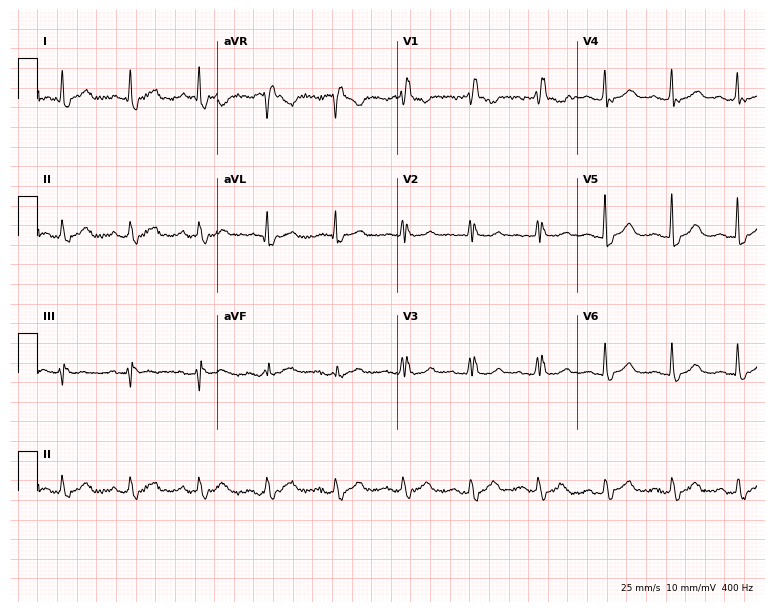
Resting 12-lead electrocardiogram (7.3-second recording at 400 Hz). Patient: a 60-year-old female. The tracing shows right bundle branch block.